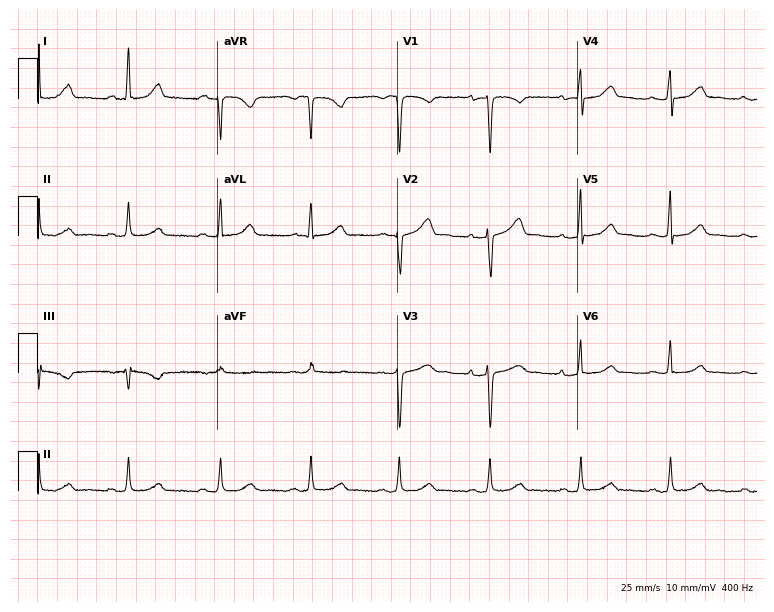
12-lead ECG from a 41-year-old woman. Labelled as a normal ECG.